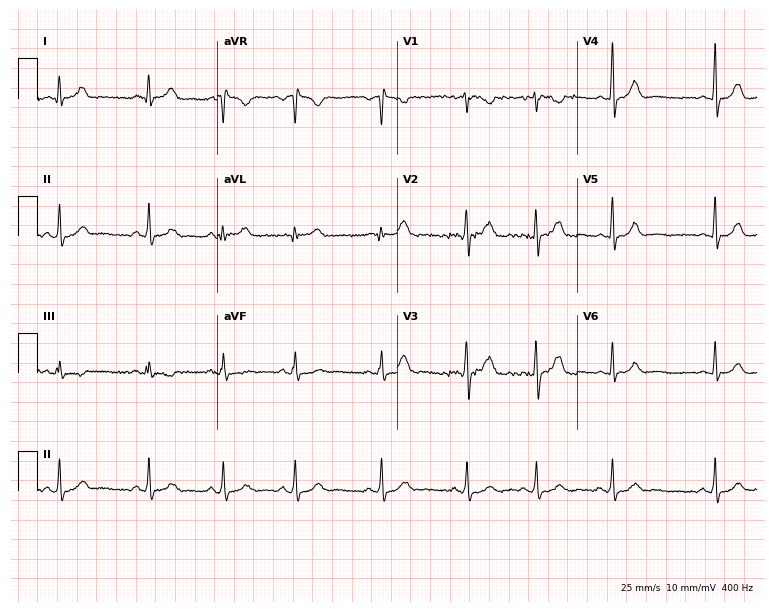
Resting 12-lead electrocardiogram. Patient: a 20-year-old female. Read as a normal ECG.